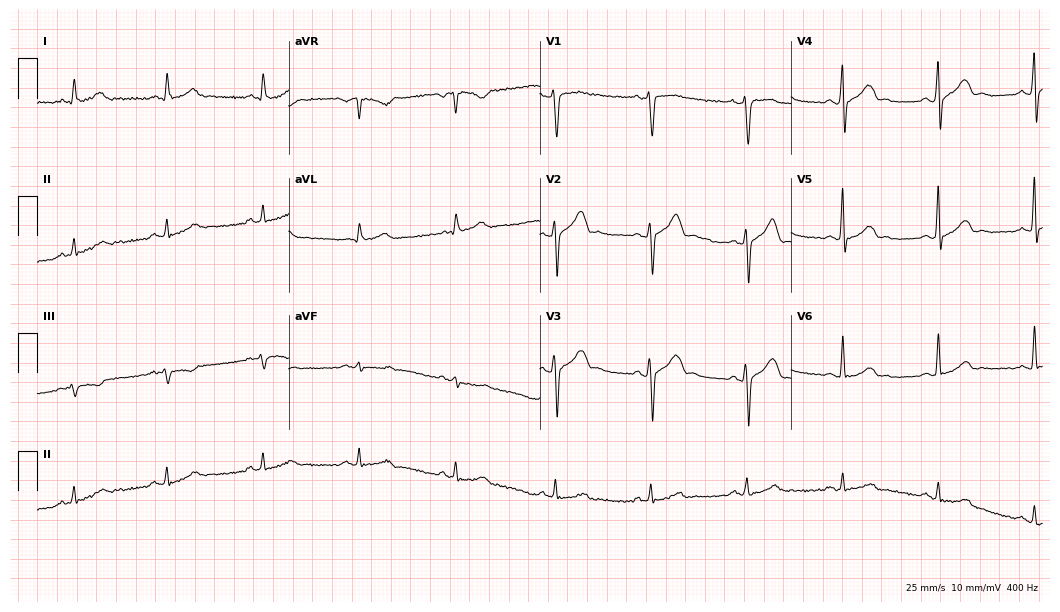
Resting 12-lead electrocardiogram (10.2-second recording at 400 Hz). Patient: a male, 50 years old. Read as a normal ECG.